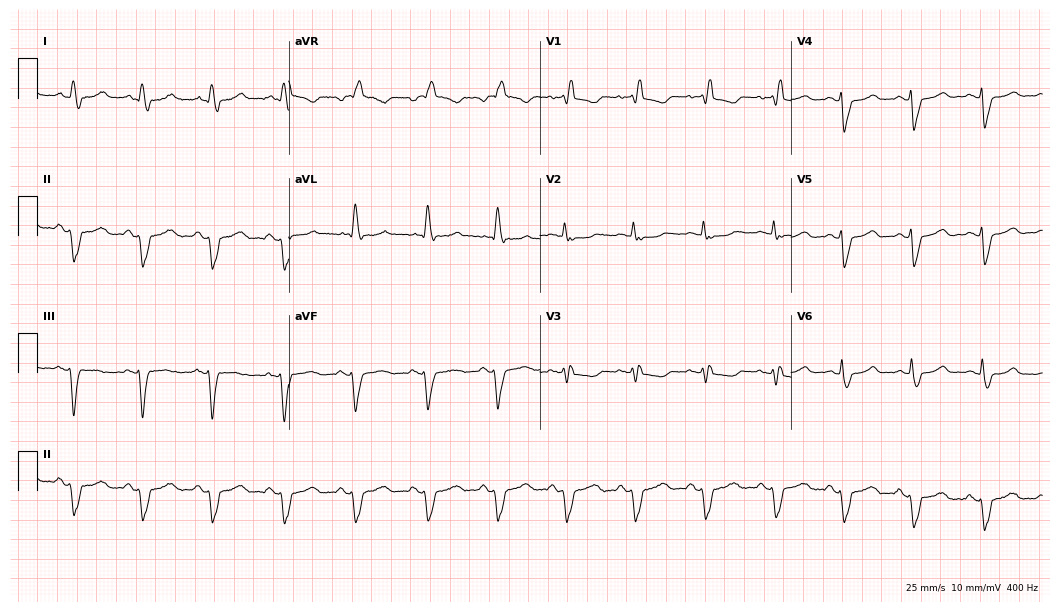
Standard 12-lead ECG recorded from a 71-year-old female patient. The tracing shows right bundle branch block, left bundle branch block.